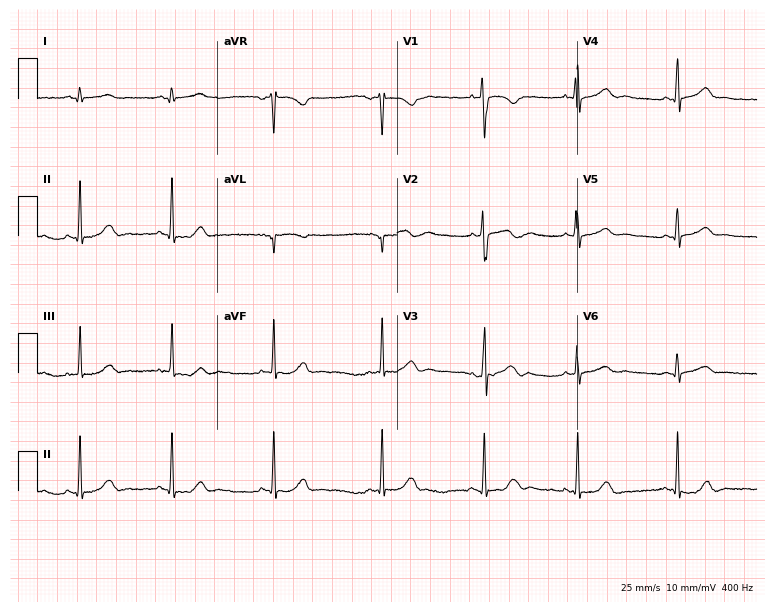
Electrocardiogram, a 21-year-old female. Of the six screened findings (first-degree AV block, right bundle branch block, left bundle branch block, sinus bradycardia, atrial fibrillation, sinus tachycardia), none is recorded.